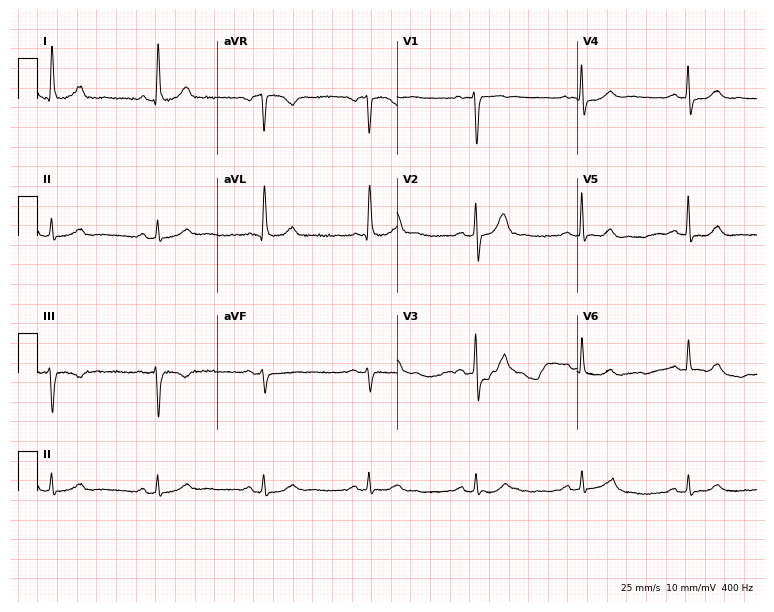
12-lead ECG from a 73-year-old male patient (7.3-second recording at 400 Hz). Recorded interpretation: within normal limits.